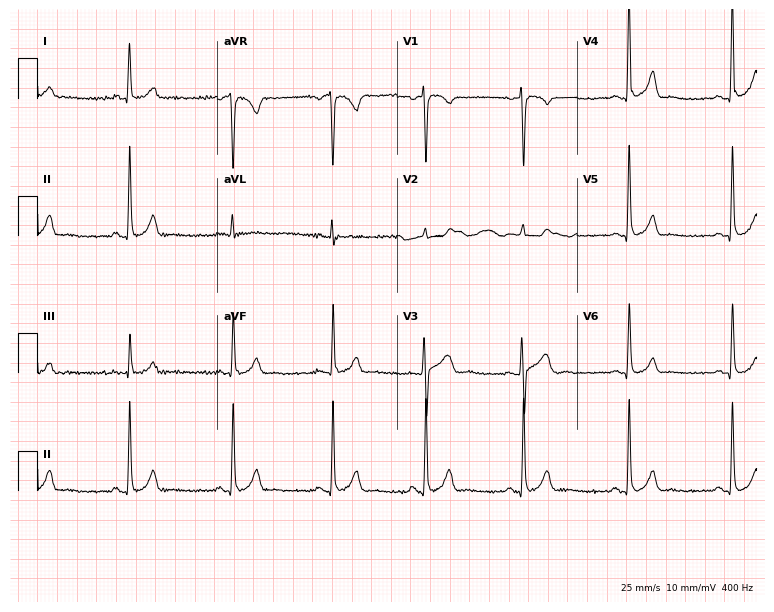
12-lead ECG from a 27-year-old woman. Labelled as a normal ECG.